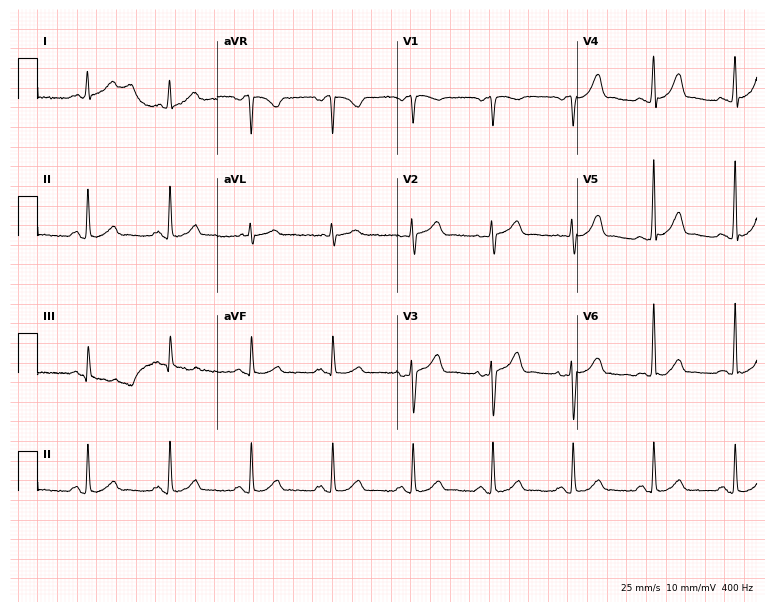
Standard 12-lead ECG recorded from a man, 49 years old. Read as a normal ECG.